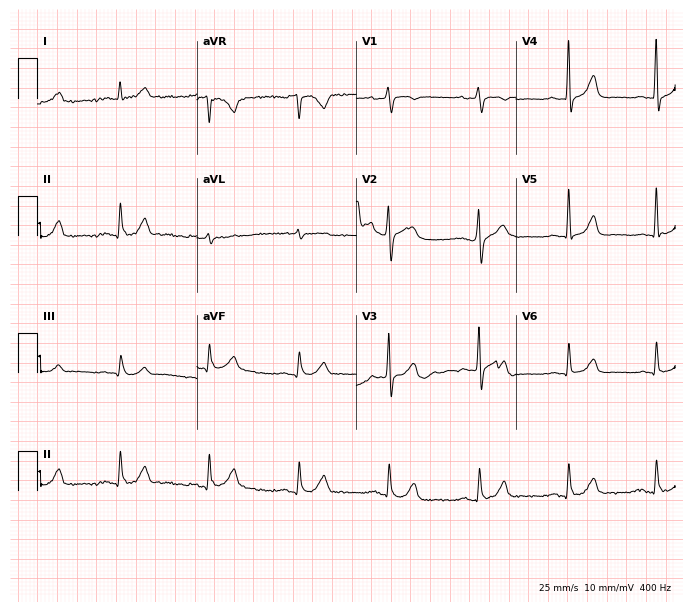
Resting 12-lead electrocardiogram (6.5-second recording at 400 Hz). Patient: a man, 81 years old. None of these six findings is recorded: first-degree AV block, right bundle branch block (RBBB), left bundle branch block (LBBB), sinus bradycardia, atrial fibrillation (AF), sinus tachycardia. Only these six findings were labelled.